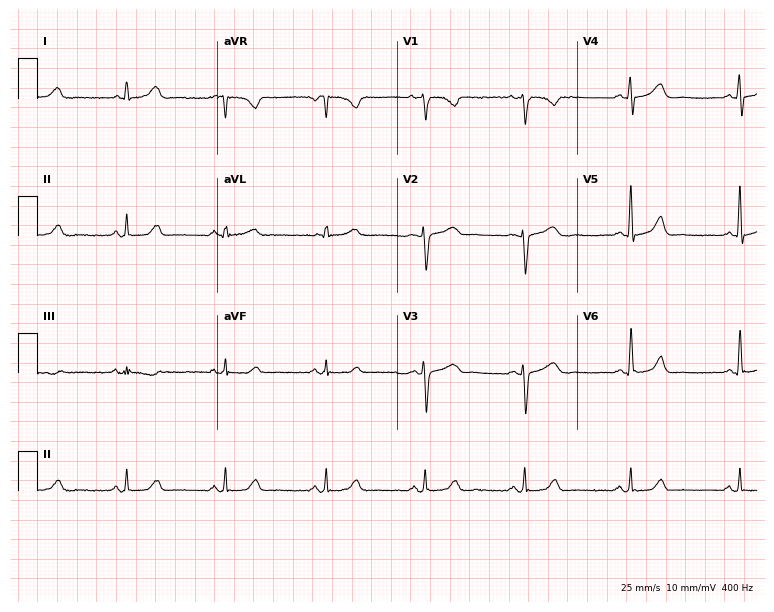
ECG (7.3-second recording at 400 Hz) — a 30-year-old woman. Screened for six findings — first-degree AV block, right bundle branch block, left bundle branch block, sinus bradycardia, atrial fibrillation, sinus tachycardia — none is recorded.